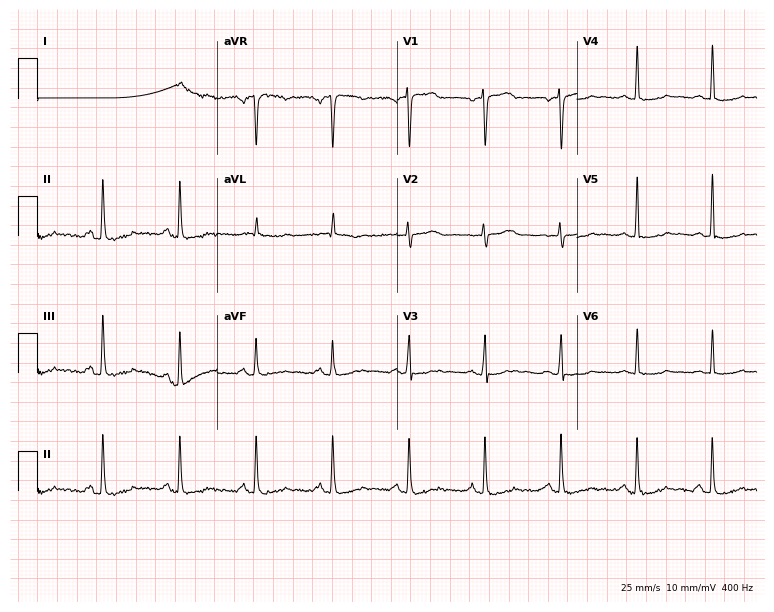
ECG — a 54-year-old female. Screened for six findings — first-degree AV block, right bundle branch block, left bundle branch block, sinus bradycardia, atrial fibrillation, sinus tachycardia — none is recorded.